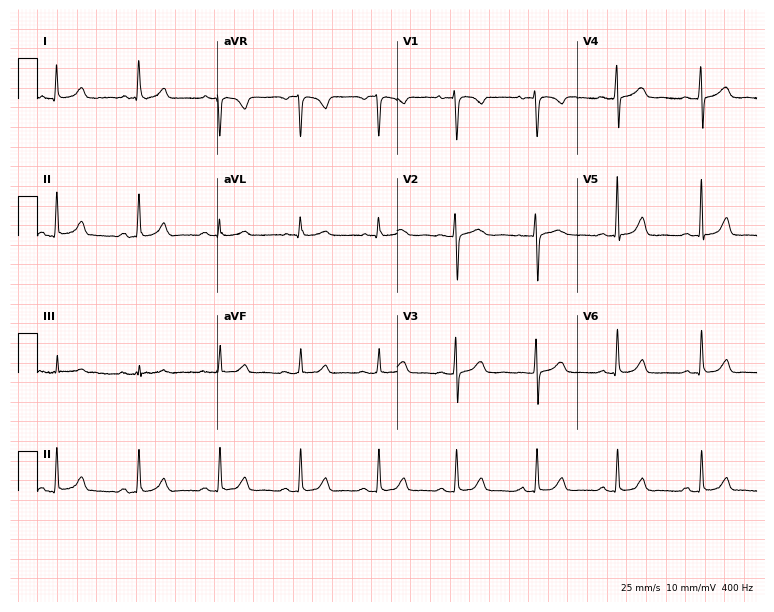
12-lead ECG from a woman, 31 years old (7.3-second recording at 400 Hz). No first-degree AV block, right bundle branch block (RBBB), left bundle branch block (LBBB), sinus bradycardia, atrial fibrillation (AF) or sinus tachycardia recorded for this tracing.